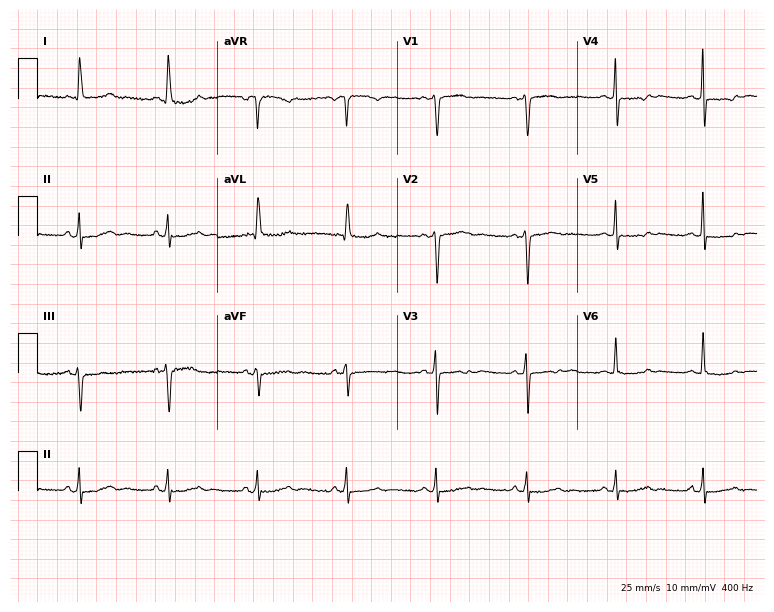
ECG — a 71-year-old female. Labelled as a normal ECG.